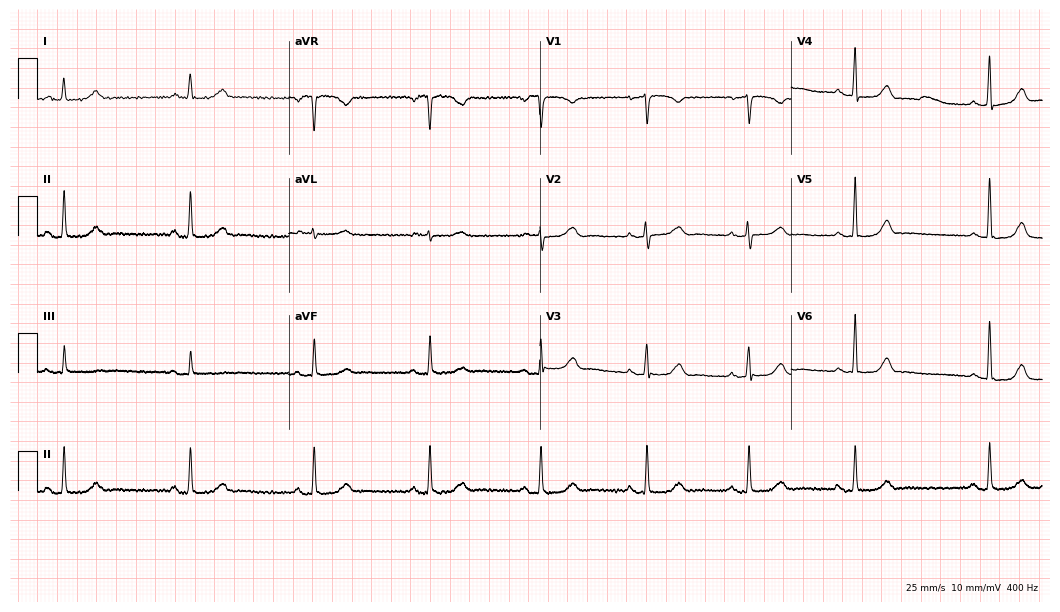
Resting 12-lead electrocardiogram. Patient: a 70-year-old female. None of these six findings is recorded: first-degree AV block, right bundle branch block (RBBB), left bundle branch block (LBBB), sinus bradycardia, atrial fibrillation (AF), sinus tachycardia.